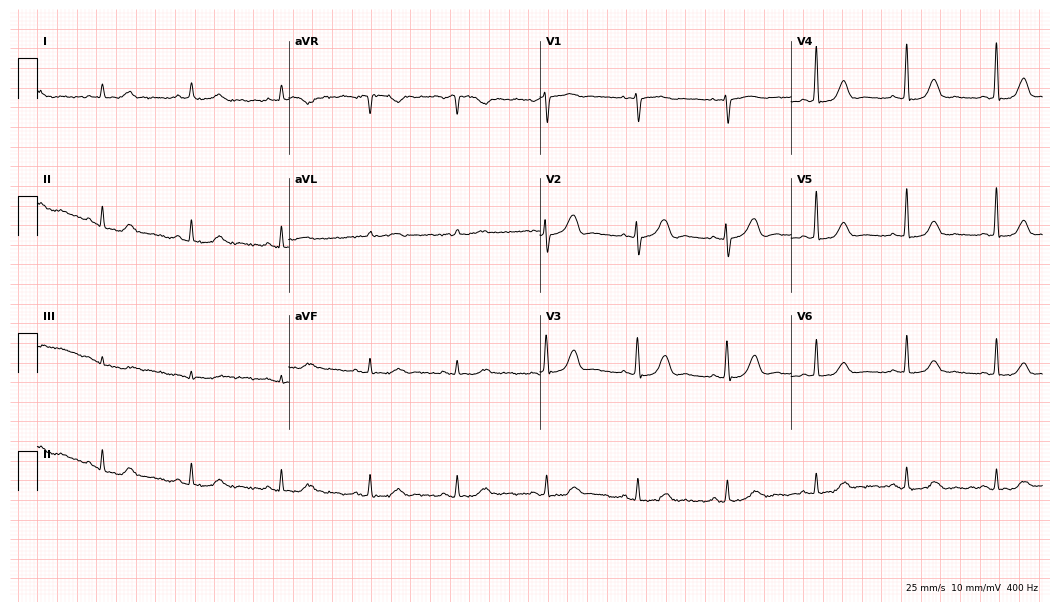
Electrocardiogram (10.2-second recording at 400 Hz), a 76-year-old female. Overall reading on record: normal ECG.